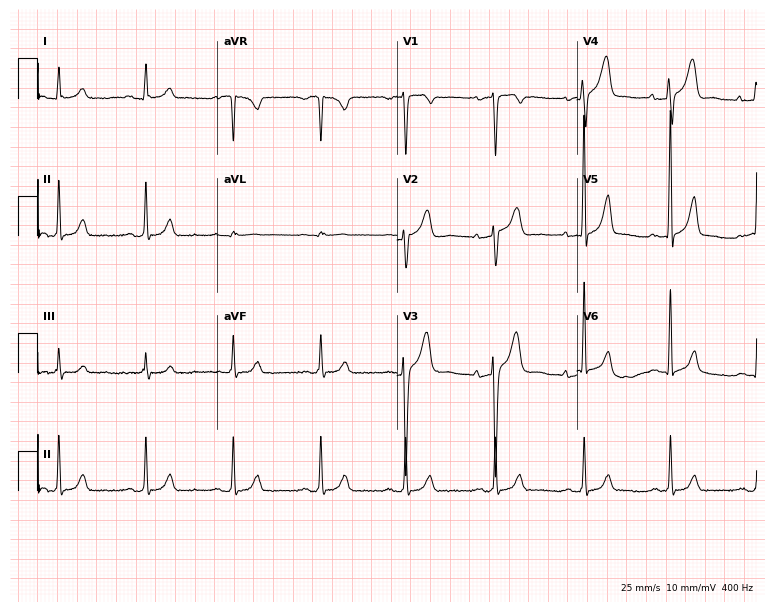
ECG — a male, 51 years old. Labelled as a normal ECG.